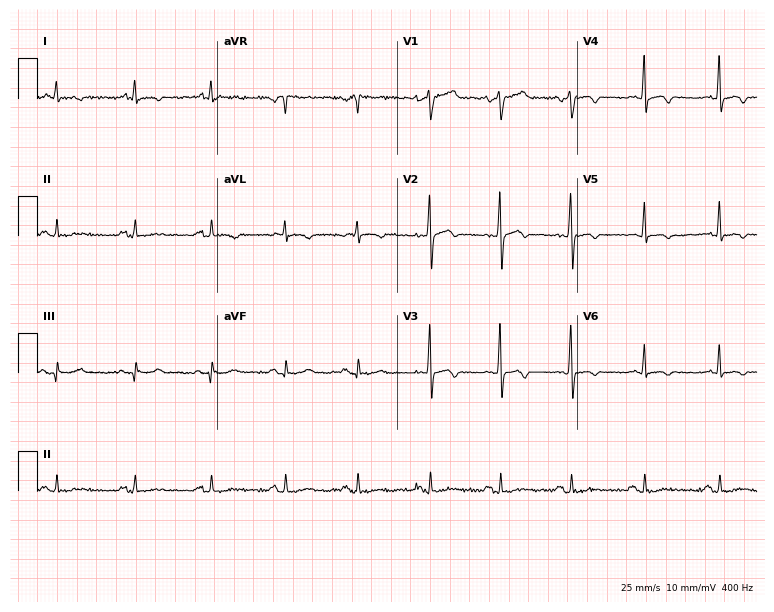
ECG (7.3-second recording at 400 Hz) — a man, 58 years old. Labelled as a normal ECG.